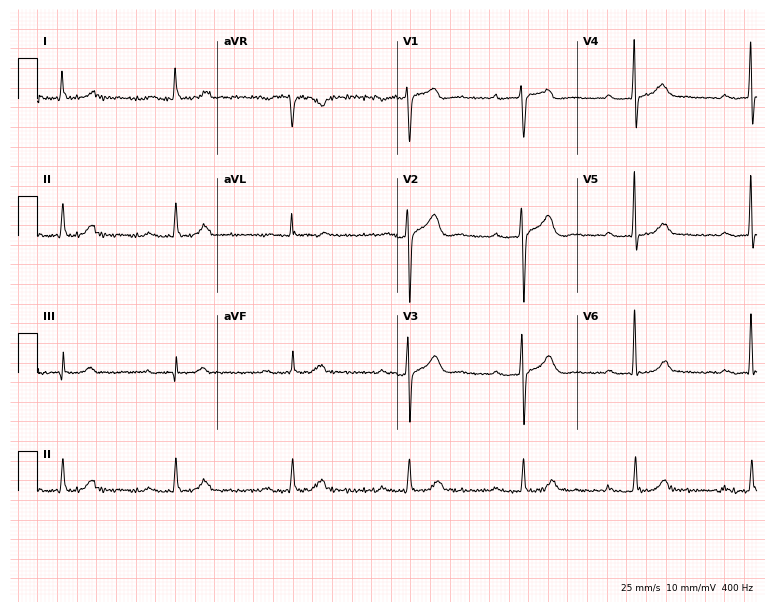
12-lead ECG (7.3-second recording at 400 Hz) from a man, 58 years old. Labelled as a normal ECG.